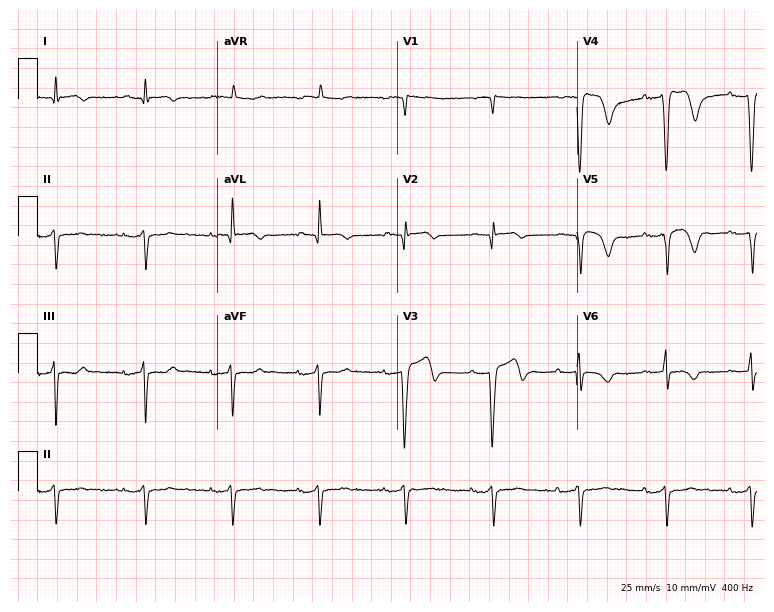
ECG (7.3-second recording at 400 Hz) — a man, 72 years old. Labelled as a normal ECG.